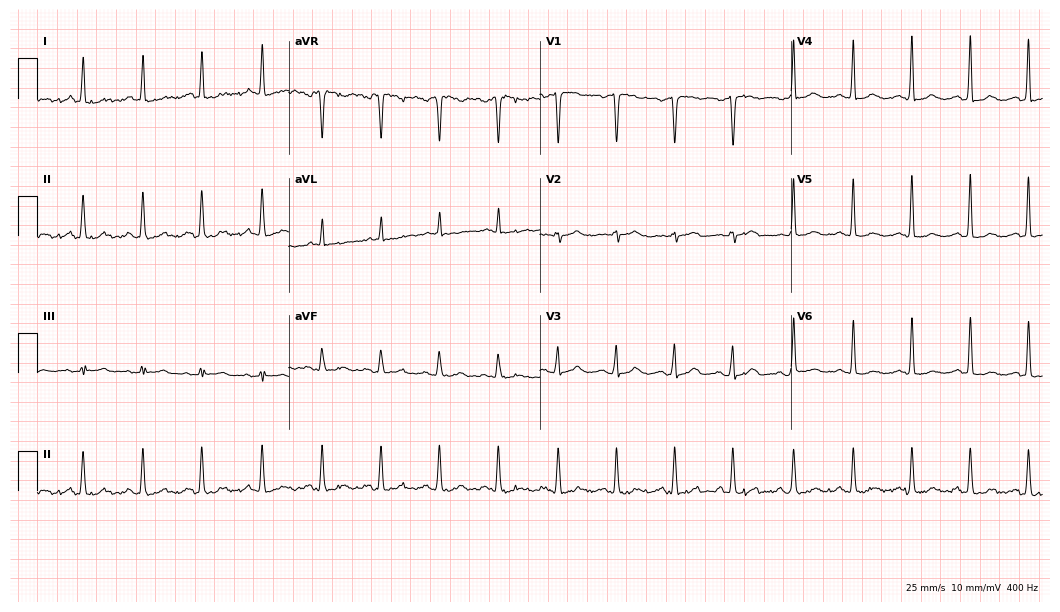
12-lead ECG from a 52-year-old female patient. Screened for six findings — first-degree AV block, right bundle branch block (RBBB), left bundle branch block (LBBB), sinus bradycardia, atrial fibrillation (AF), sinus tachycardia — none is recorded.